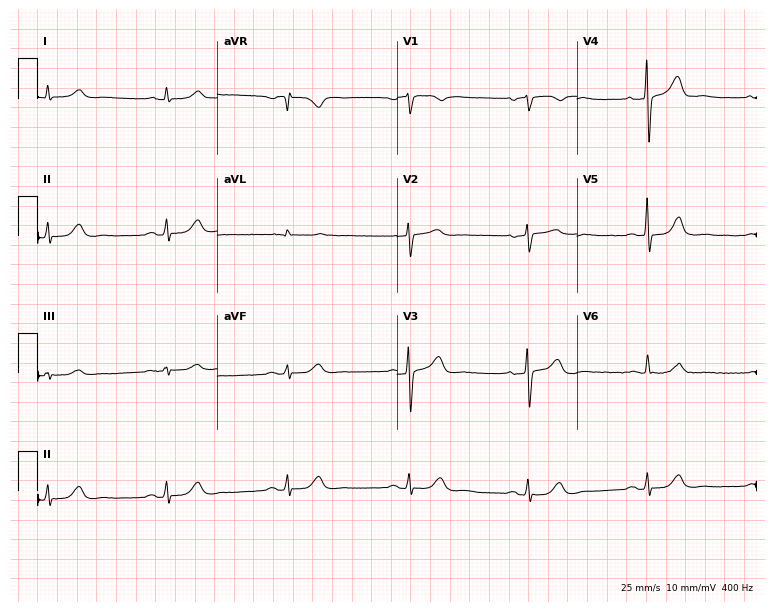
12-lead ECG (7.3-second recording at 400 Hz) from a male, 81 years old. Screened for six findings — first-degree AV block, right bundle branch block, left bundle branch block, sinus bradycardia, atrial fibrillation, sinus tachycardia — none is recorded. Only these six findings were labelled.